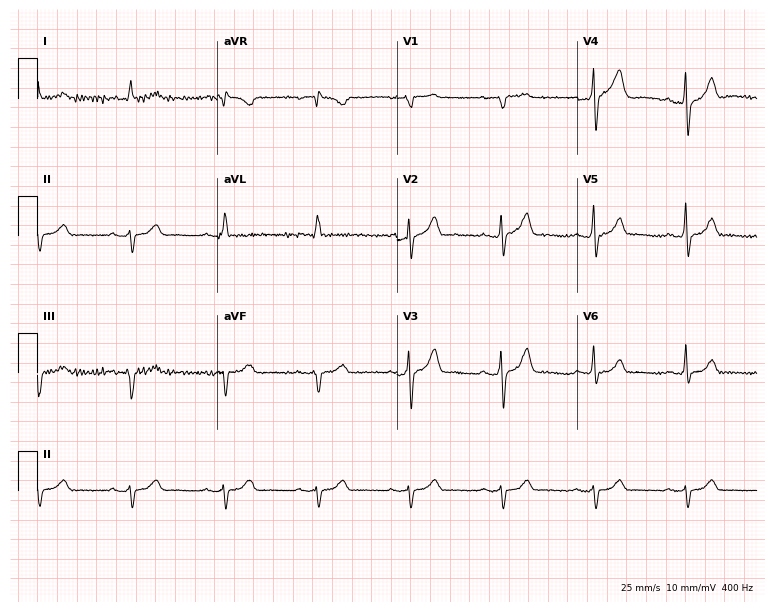
ECG (7.3-second recording at 400 Hz) — a 78-year-old man. Screened for six findings — first-degree AV block, right bundle branch block (RBBB), left bundle branch block (LBBB), sinus bradycardia, atrial fibrillation (AF), sinus tachycardia — none is recorded. Other findings, if any, are not listed.